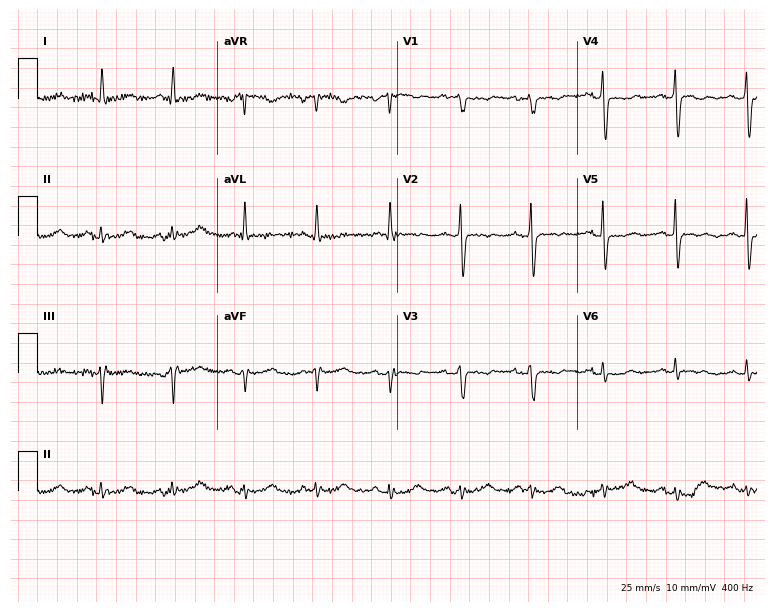
Electrocardiogram, a 57-year-old woman. Of the six screened findings (first-degree AV block, right bundle branch block (RBBB), left bundle branch block (LBBB), sinus bradycardia, atrial fibrillation (AF), sinus tachycardia), none is recorded. Findings outside these six are not listed.